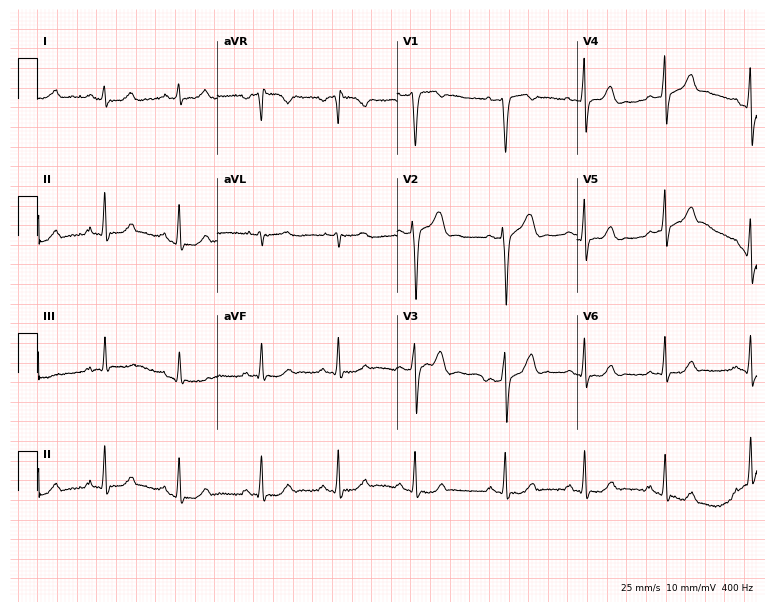
Standard 12-lead ECG recorded from a woman, 29 years old (7.3-second recording at 400 Hz). None of these six findings is recorded: first-degree AV block, right bundle branch block, left bundle branch block, sinus bradycardia, atrial fibrillation, sinus tachycardia. Findings outside these six are not listed.